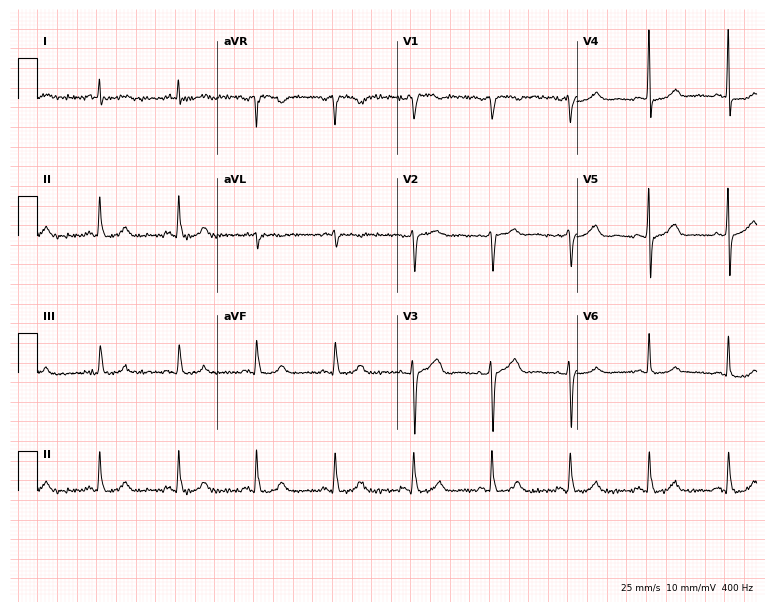
Electrocardiogram, an 83-year-old male patient. Overall reading on record: normal ECG.